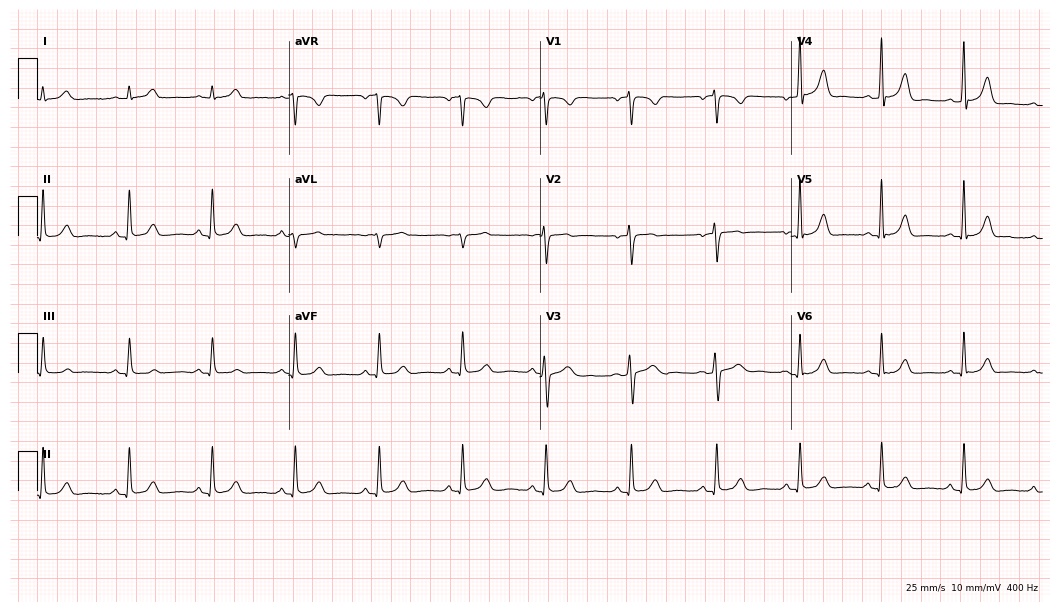
12-lead ECG from a 34-year-old female (10.2-second recording at 400 Hz). No first-degree AV block, right bundle branch block, left bundle branch block, sinus bradycardia, atrial fibrillation or sinus tachycardia recorded for this tracing. Only these six findings were labelled.